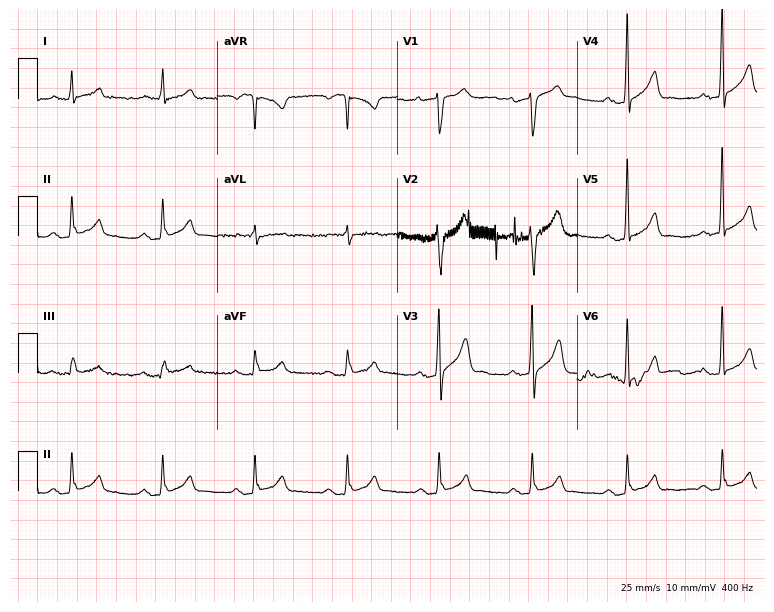
Electrocardiogram, a male, 44 years old. Interpretation includes first-degree AV block.